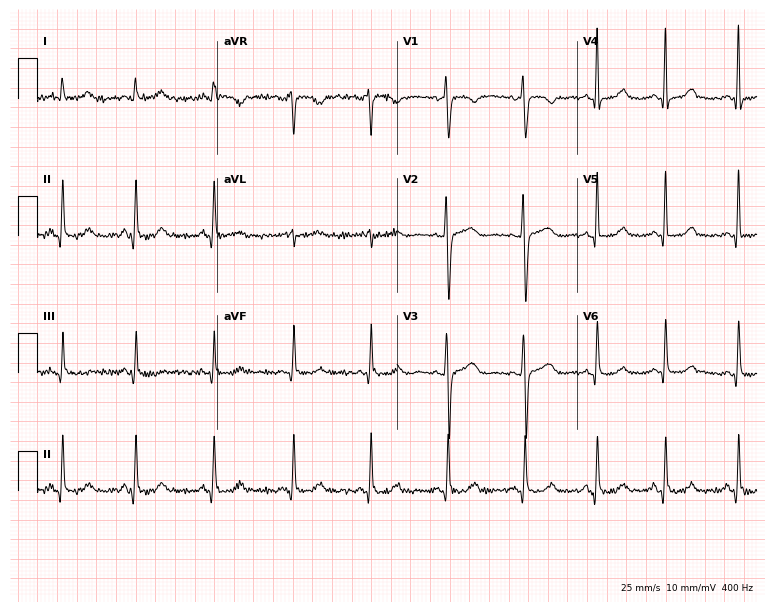
Electrocardiogram, a woman, 42 years old. Of the six screened findings (first-degree AV block, right bundle branch block, left bundle branch block, sinus bradycardia, atrial fibrillation, sinus tachycardia), none is recorded.